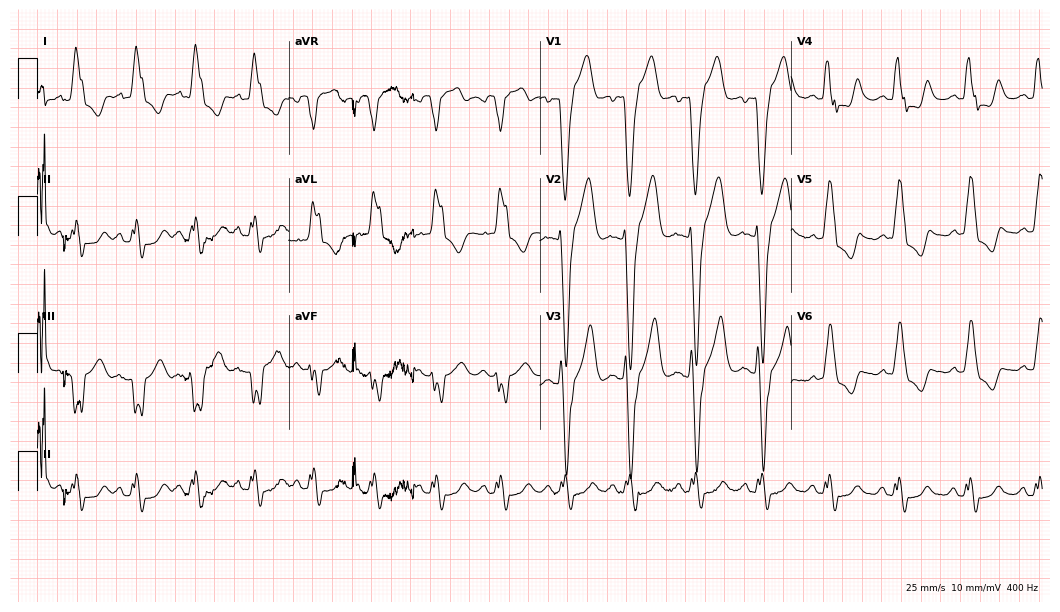
Standard 12-lead ECG recorded from a 75-year-old male patient. The tracing shows left bundle branch block.